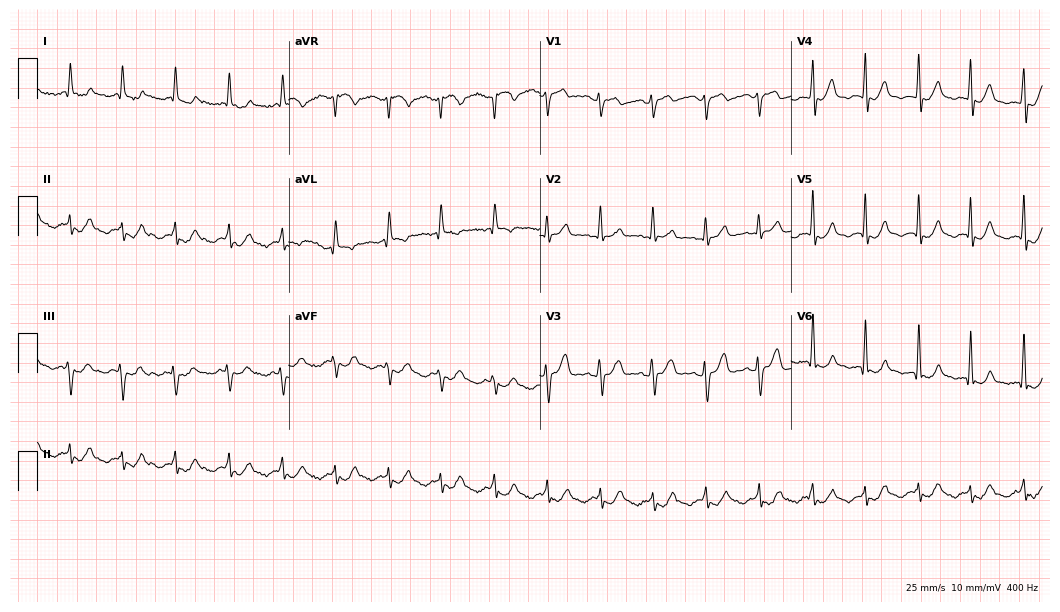
12-lead ECG from a female, 79 years old (10.2-second recording at 400 Hz). Shows atrial fibrillation (AF).